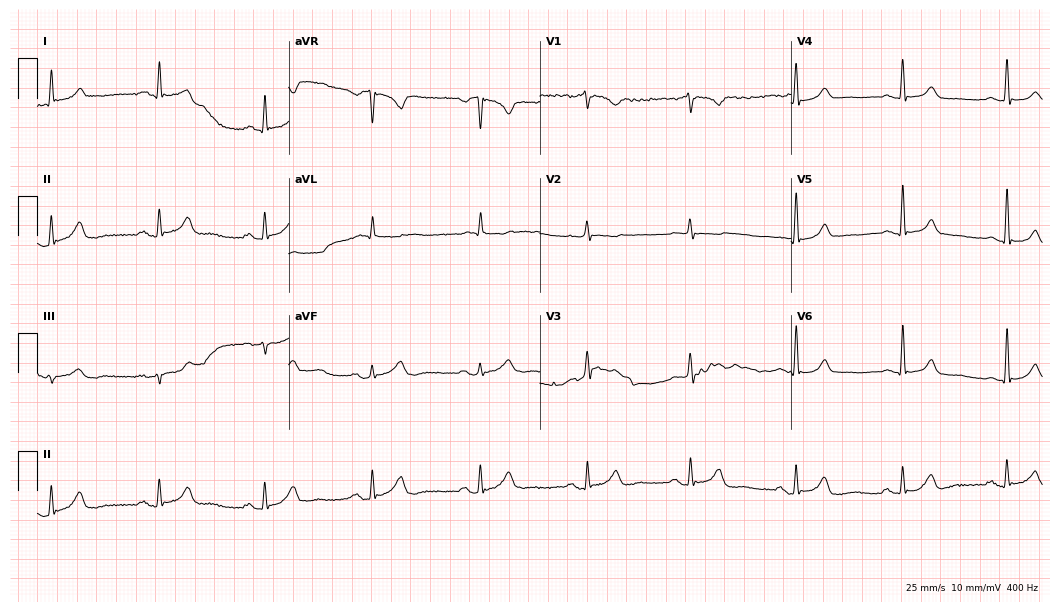
ECG (10.2-second recording at 400 Hz) — a female patient, 73 years old. Screened for six findings — first-degree AV block, right bundle branch block, left bundle branch block, sinus bradycardia, atrial fibrillation, sinus tachycardia — none is recorded. Other findings, if any, are not listed.